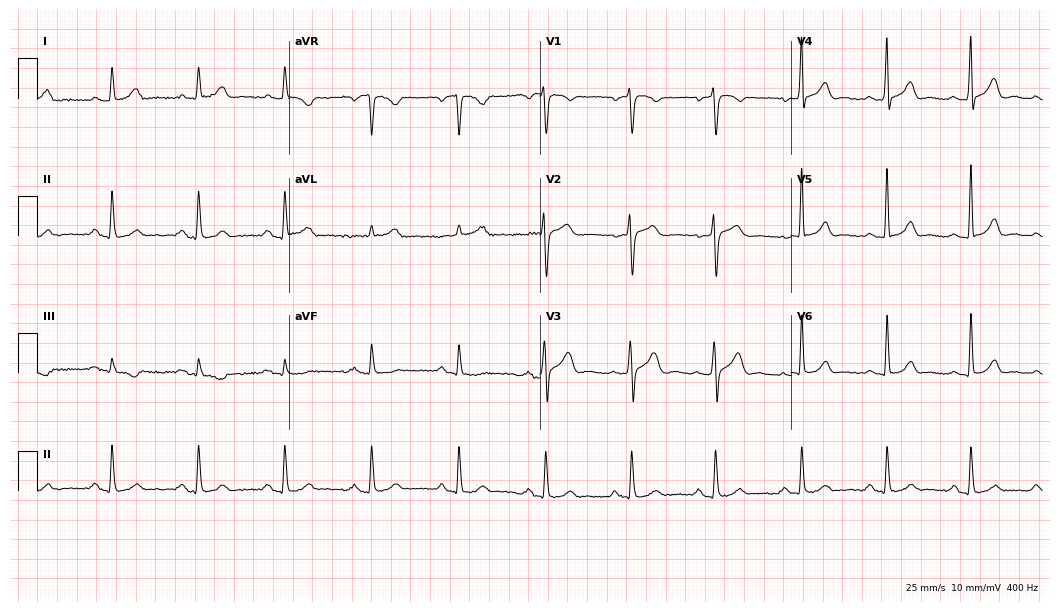
ECG — a male patient, 69 years old. Labelled as a normal ECG.